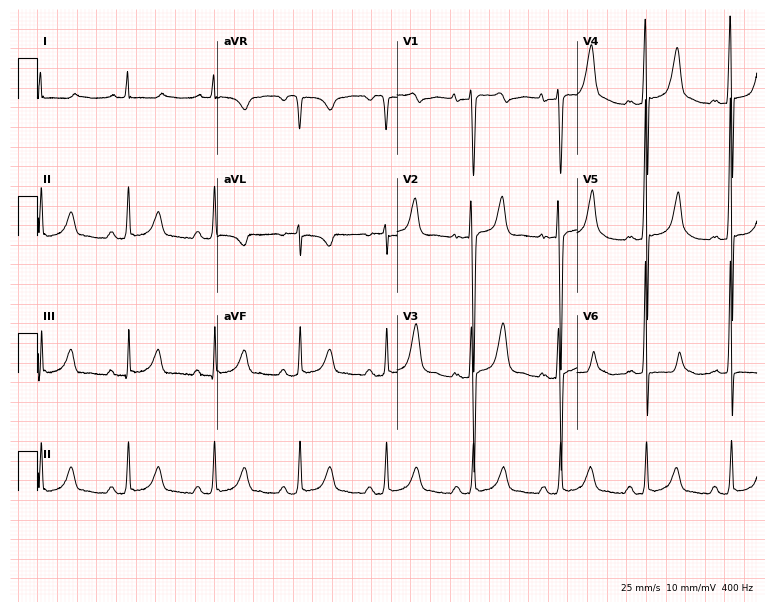
Resting 12-lead electrocardiogram. Patient: a 42-year-old male. None of these six findings is recorded: first-degree AV block, right bundle branch block, left bundle branch block, sinus bradycardia, atrial fibrillation, sinus tachycardia.